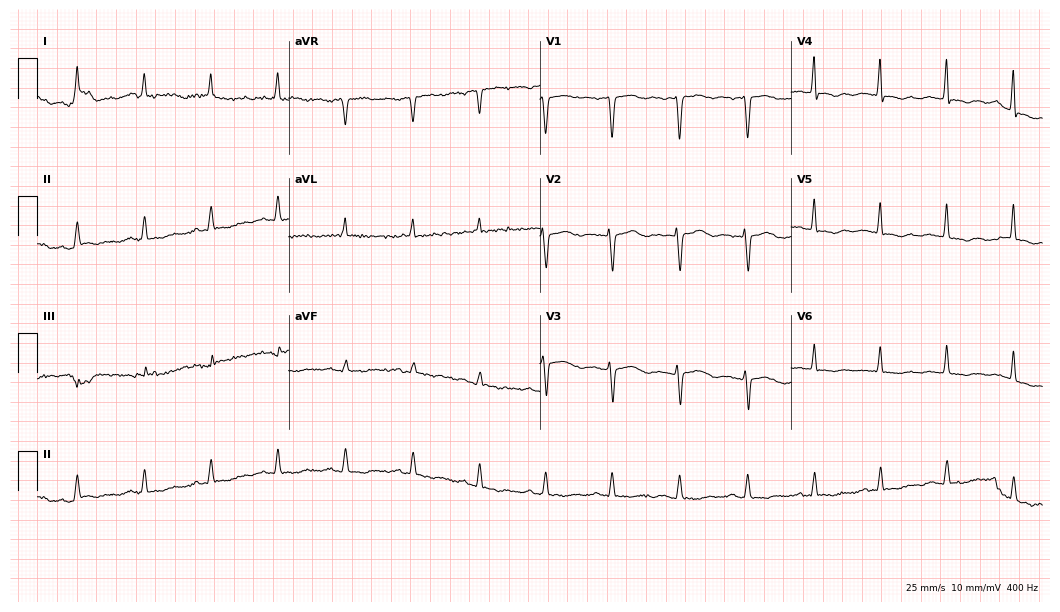
Resting 12-lead electrocardiogram (10.2-second recording at 400 Hz). Patient: a woman, 33 years old. None of these six findings is recorded: first-degree AV block, right bundle branch block, left bundle branch block, sinus bradycardia, atrial fibrillation, sinus tachycardia. Other findings, if any, are not listed.